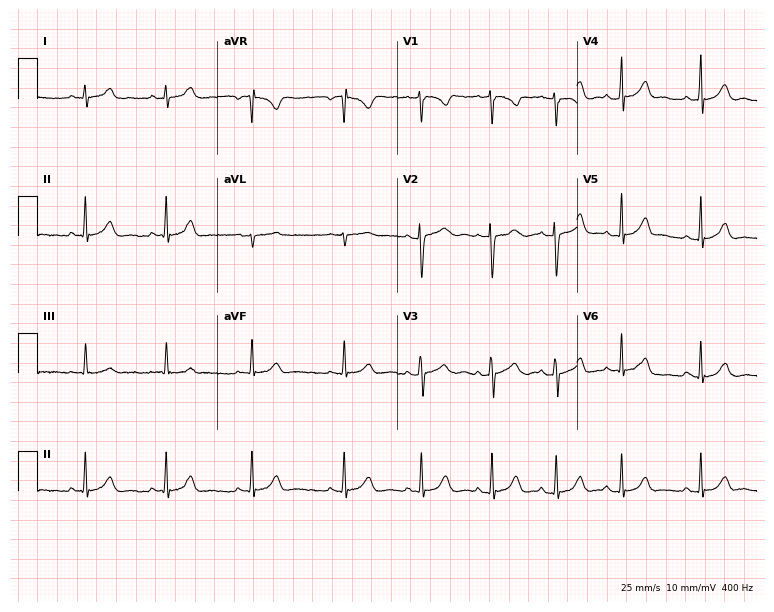
12-lead ECG from a 17-year-old female. Labelled as a normal ECG.